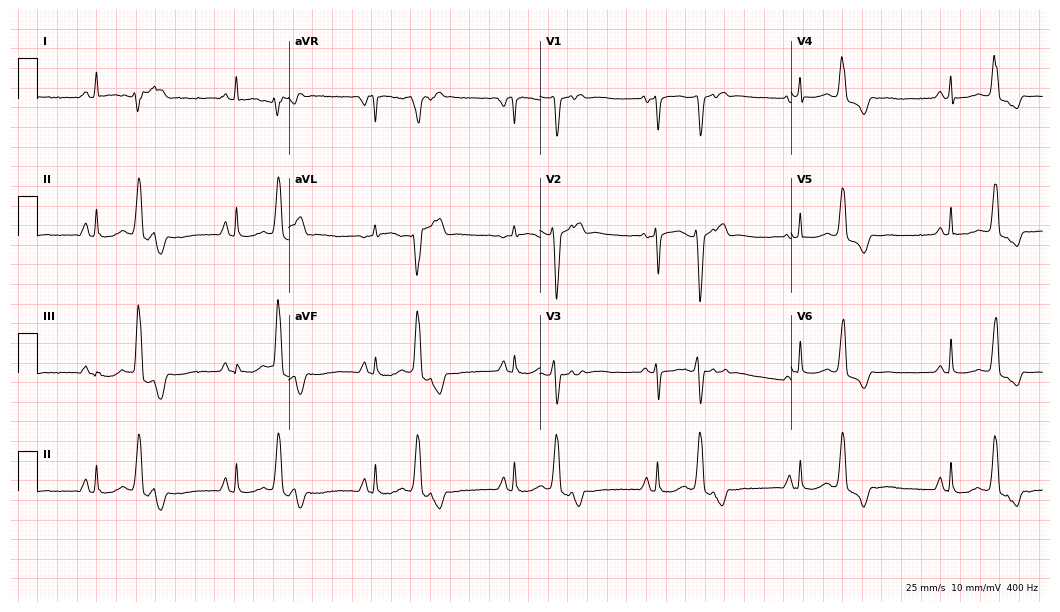
12-lead ECG (10.2-second recording at 400 Hz) from a 42-year-old female. Screened for six findings — first-degree AV block, right bundle branch block, left bundle branch block, sinus bradycardia, atrial fibrillation, sinus tachycardia — none is recorded. Other findings, if any, are not listed.